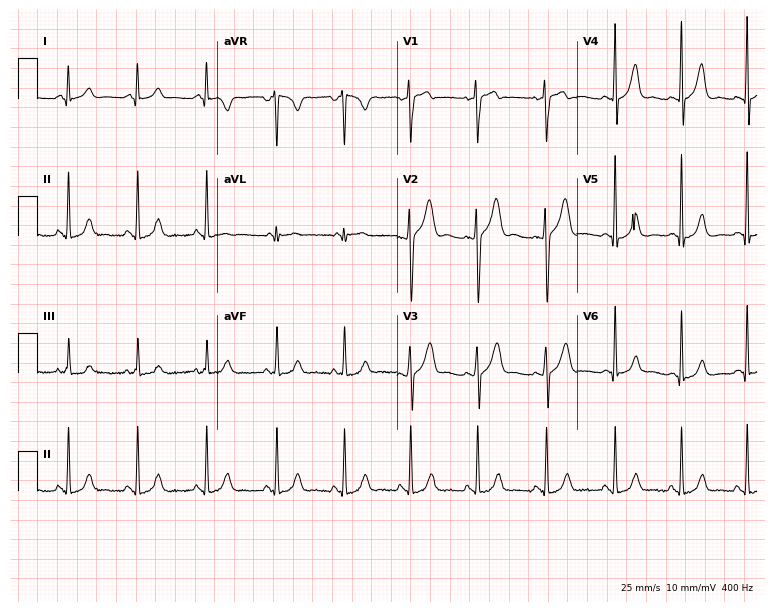
12-lead ECG from a 38-year-old female (7.3-second recording at 400 Hz). Recorded interpretation: within normal limits.